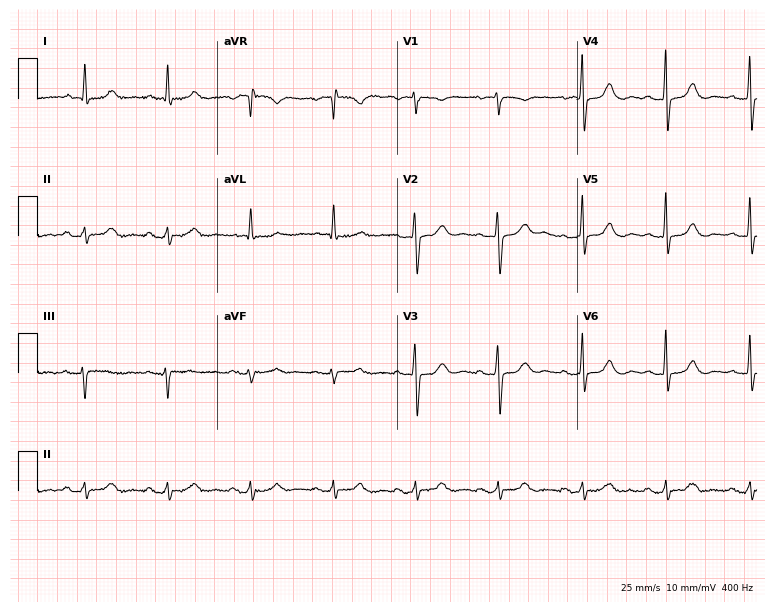
12-lead ECG from an 81-year-old female patient (7.3-second recording at 400 Hz). No first-degree AV block, right bundle branch block (RBBB), left bundle branch block (LBBB), sinus bradycardia, atrial fibrillation (AF) or sinus tachycardia recorded for this tracing. Only these six findings were labelled.